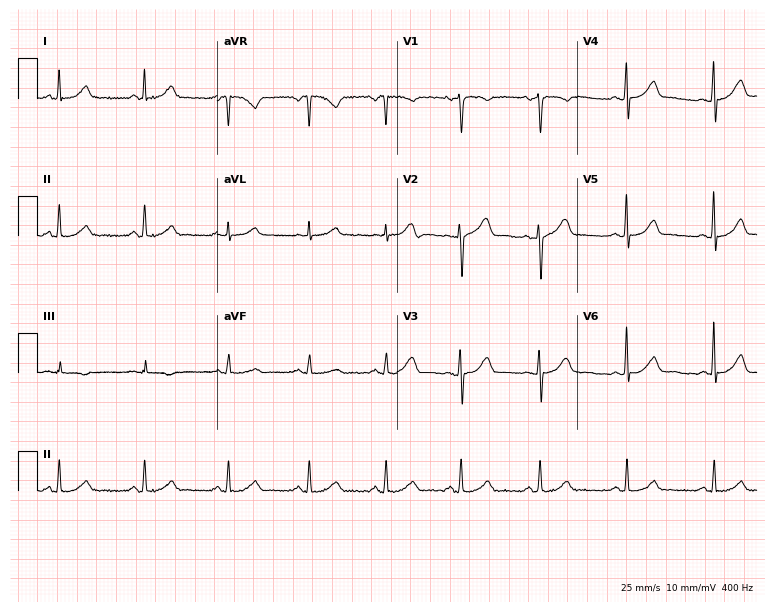
12-lead ECG (7.3-second recording at 400 Hz) from a woman, 31 years old. Screened for six findings — first-degree AV block, right bundle branch block (RBBB), left bundle branch block (LBBB), sinus bradycardia, atrial fibrillation (AF), sinus tachycardia — none is recorded.